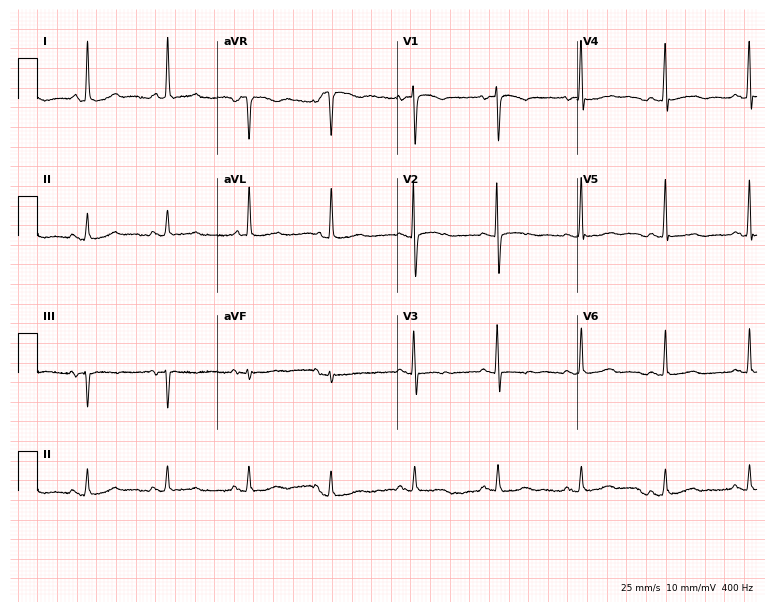
Standard 12-lead ECG recorded from a female patient, 82 years old. None of these six findings is recorded: first-degree AV block, right bundle branch block, left bundle branch block, sinus bradycardia, atrial fibrillation, sinus tachycardia. Findings outside these six are not listed.